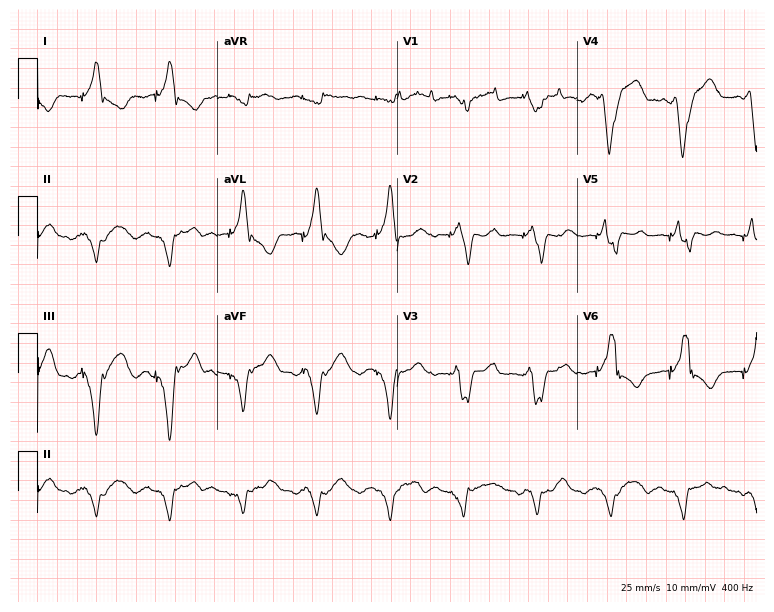
12-lead ECG from a 47-year-old woman (7.3-second recording at 400 Hz). No first-degree AV block, right bundle branch block (RBBB), left bundle branch block (LBBB), sinus bradycardia, atrial fibrillation (AF) or sinus tachycardia recorded for this tracing. Other findings, if any, are not listed.